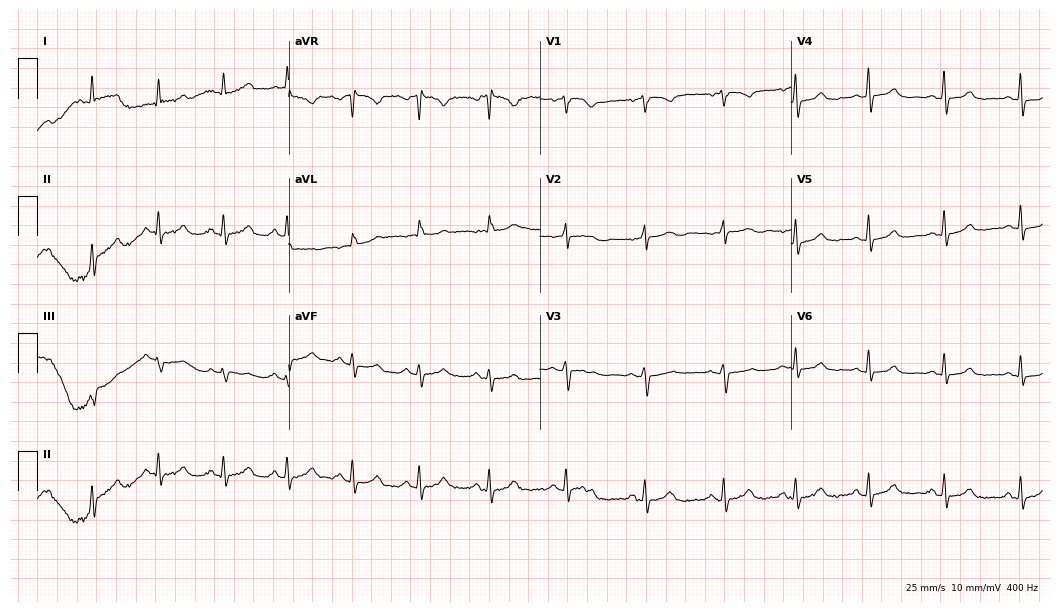
ECG (10.2-second recording at 400 Hz) — a female patient, 54 years old. Labelled as a normal ECG.